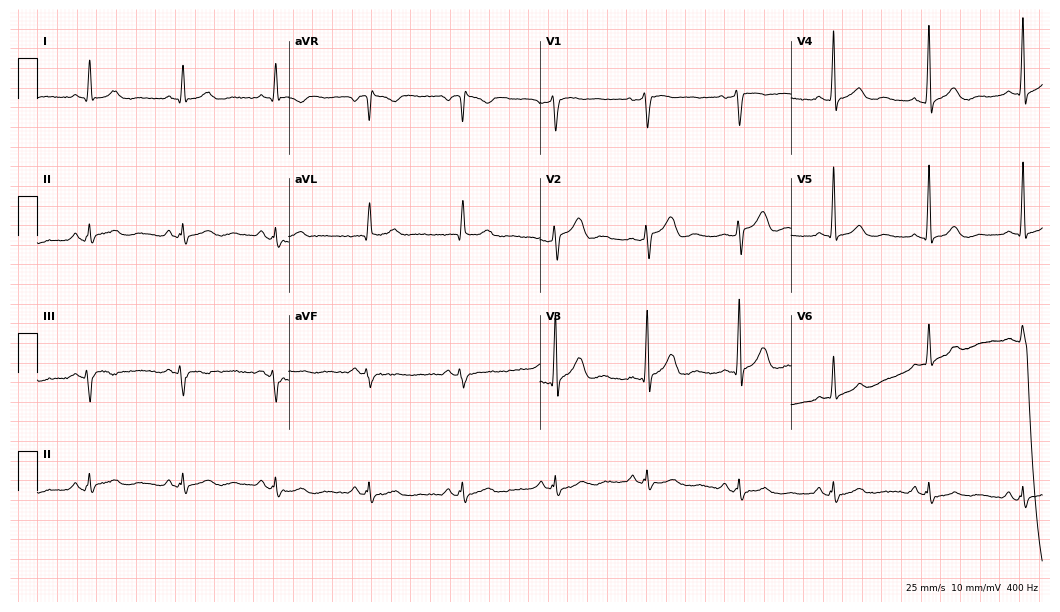
Electrocardiogram (10.2-second recording at 400 Hz), a 68-year-old man. Of the six screened findings (first-degree AV block, right bundle branch block, left bundle branch block, sinus bradycardia, atrial fibrillation, sinus tachycardia), none is recorded.